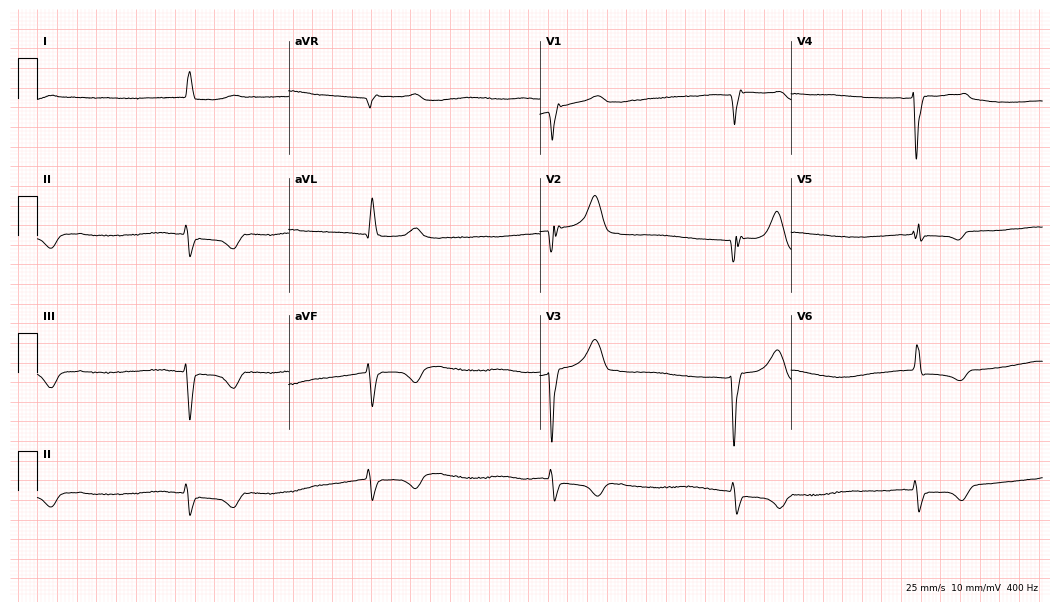
12-lead ECG from an 84-year-old man (10.2-second recording at 400 Hz). No first-degree AV block, right bundle branch block, left bundle branch block, sinus bradycardia, atrial fibrillation or sinus tachycardia recorded for this tracing.